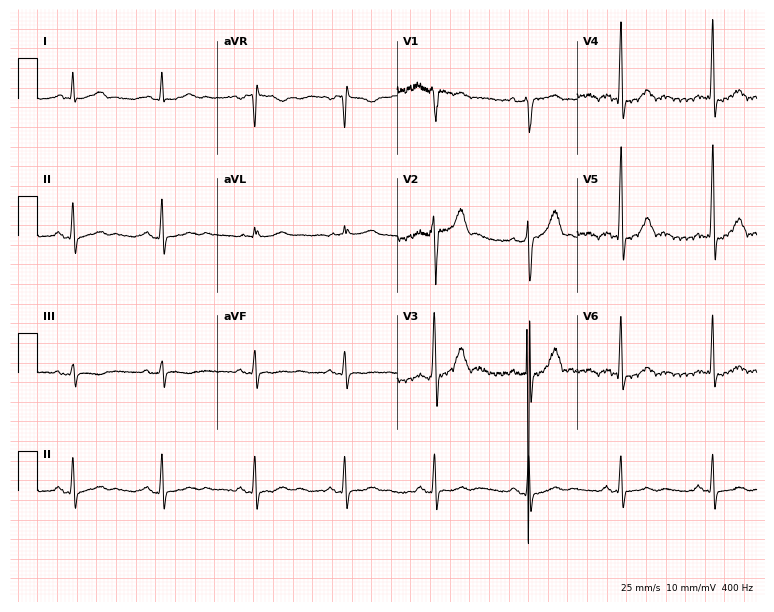
12-lead ECG from a 60-year-old male patient (7.3-second recording at 400 Hz). No first-degree AV block, right bundle branch block, left bundle branch block, sinus bradycardia, atrial fibrillation or sinus tachycardia recorded for this tracing.